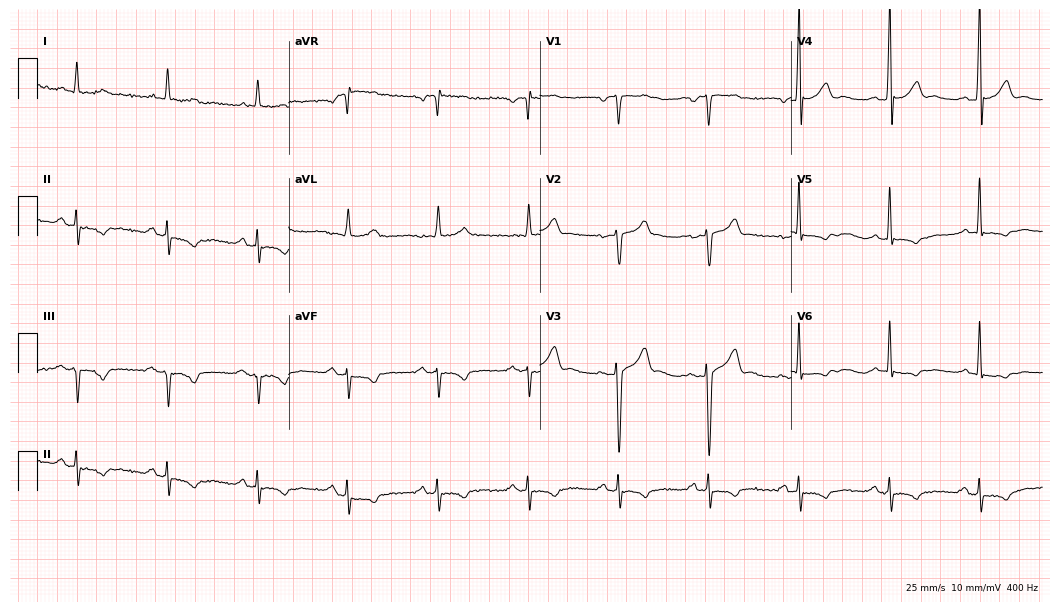
Resting 12-lead electrocardiogram (10.2-second recording at 400 Hz). Patient: a male, 80 years old. None of these six findings is recorded: first-degree AV block, right bundle branch block, left bundle branch block, sinus bradycardia, atrial fibrillation, sinus tachycardia.